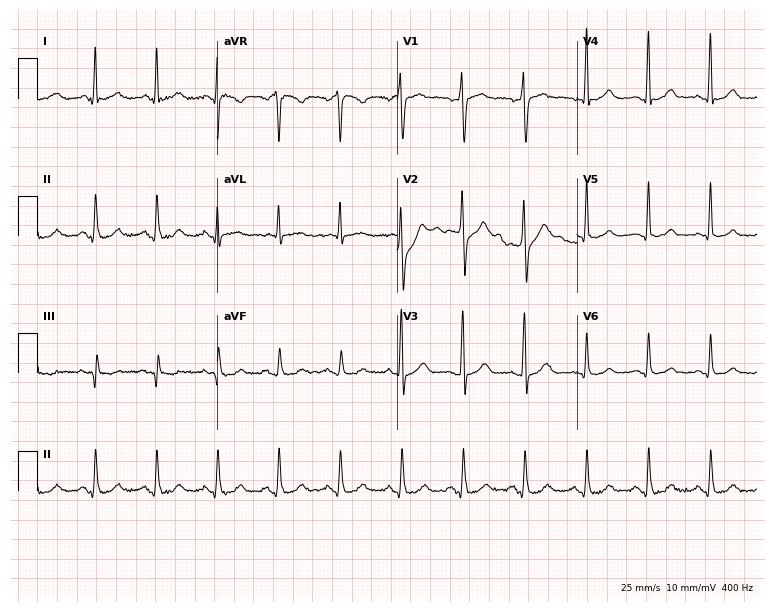
12-lead ECG from a man, 25 years old. Recorded interpretation: within normal limits.